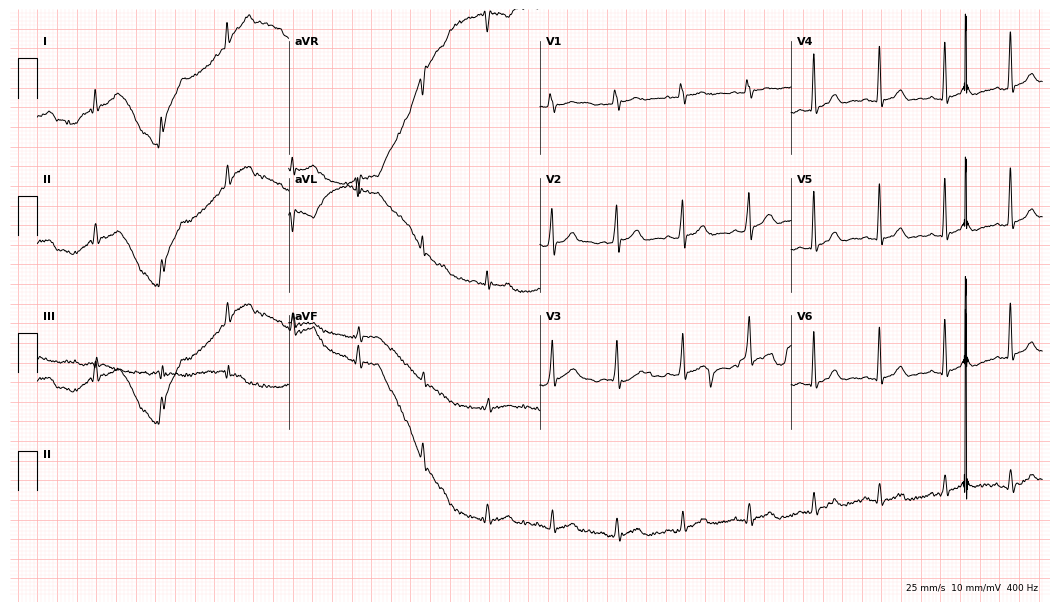
Resting 12-lead electrocardiogram (10.2-second recording at 400 Hz). Patient: a male, 44 years old. None of these six findings is recorded: first-degree AV block, right bundle branch block, left bundle branch block, sinus bradycardia, atrial fibrillation, sinus tachycardia.